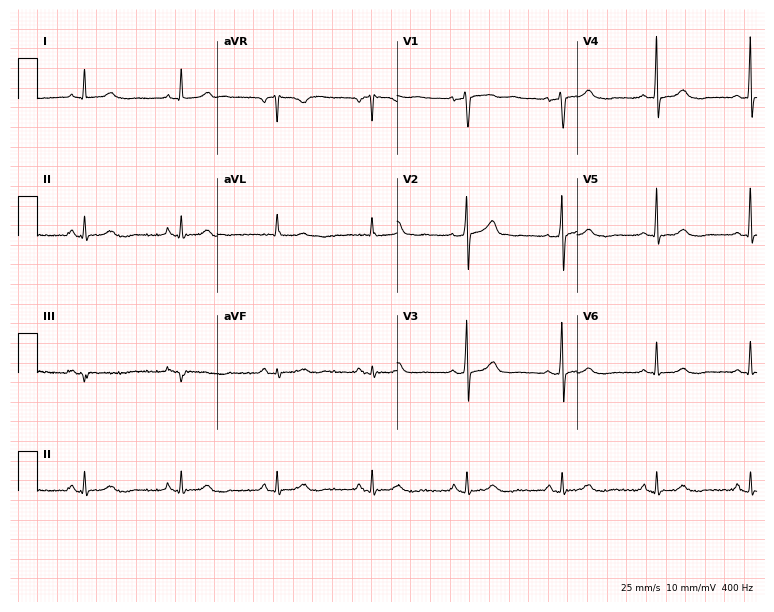
Standard 12-lead ECG recorded from a 61-year-old male patient (7.3-second recording at 400 Hz). None of these six findings is recorded: first-degree AV block, right bundle branch block (RBBB), left bundle branch block (LBBB), sinus bradycardia, atrial fibrillation (AF), sinus tachycardia. Other findings, if any, are not listed.